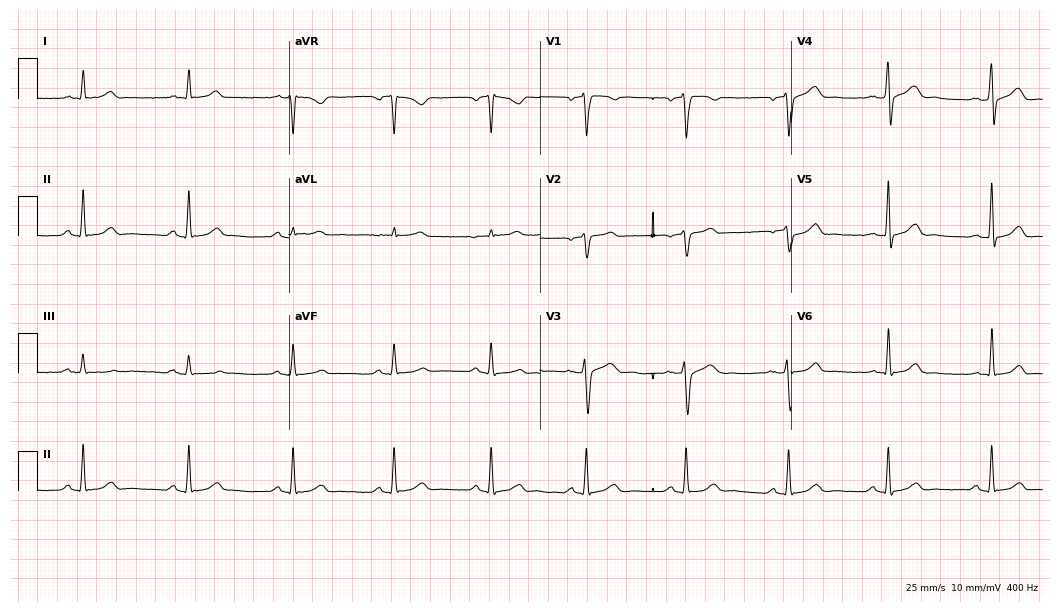
12-lead ECG from a man, 37 years old. No first-degree AV block, right bundle branch block (RBBB), left bundle branch block (LBBB), sinus bradycardia, atrial fibrillation (AF) or sinus tachycardia recorded for this tracing.